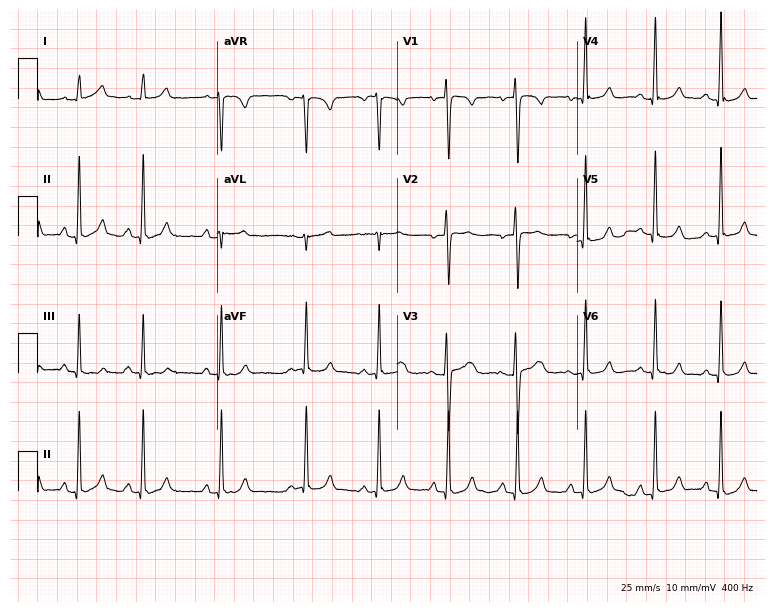
12-lead ECG from a 24-year-old female. Recorded interpretation: within normal limits.